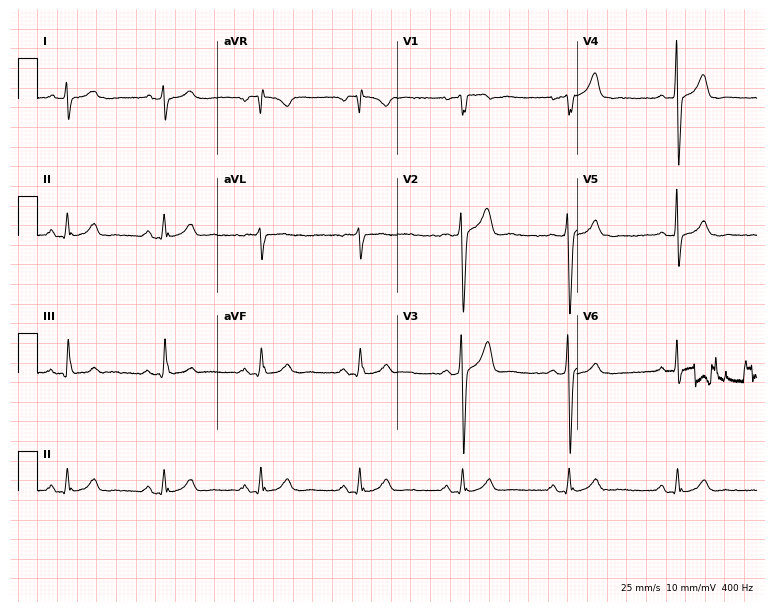
12-lead ECG from a 57-year-old man (7.3-second recording at 400 Hz). No first-degree AV block, right bundle branch block (RBBB), left bundle branch block (LBBB), sinus bradycardia, atrial fibrillation (AF) or sinus tachycardia recorded for this tracing. Findings outside these six are not listed.